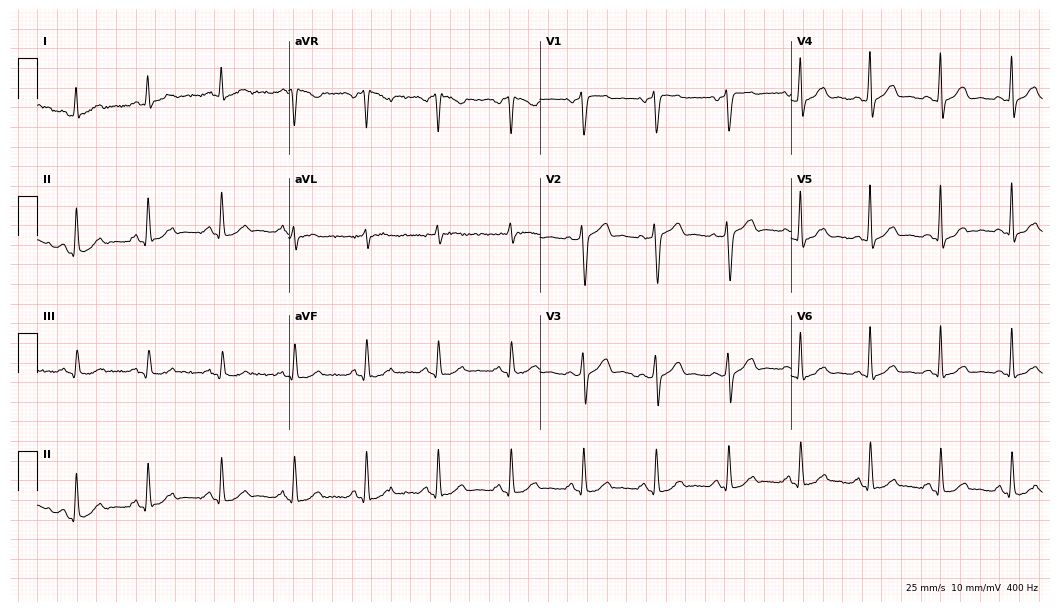
Resting 12-lead electrocardiogram. Patient: a man, 63 years old. Read as a normal ECG.